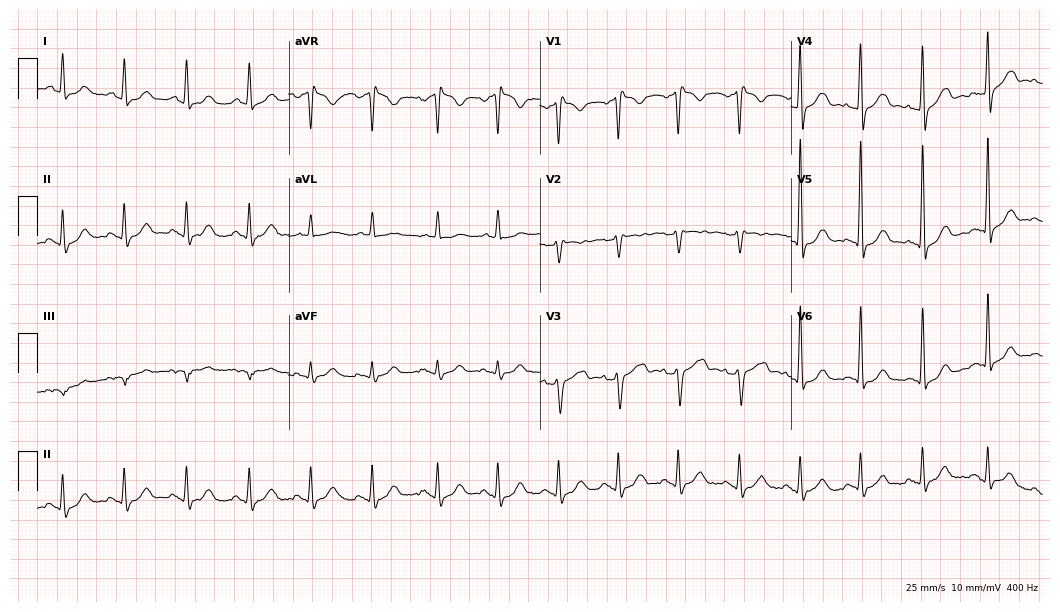
Resting 12-lead electrocardiogram. Patient: a 52-year-old man. None of these six findings is recorded: first-degree AV block, right bundle branch block (RBBB), left bundle branch block (LBBB), sinus bradycardia, atrial fibrillation (AF), sinus tachycardia.